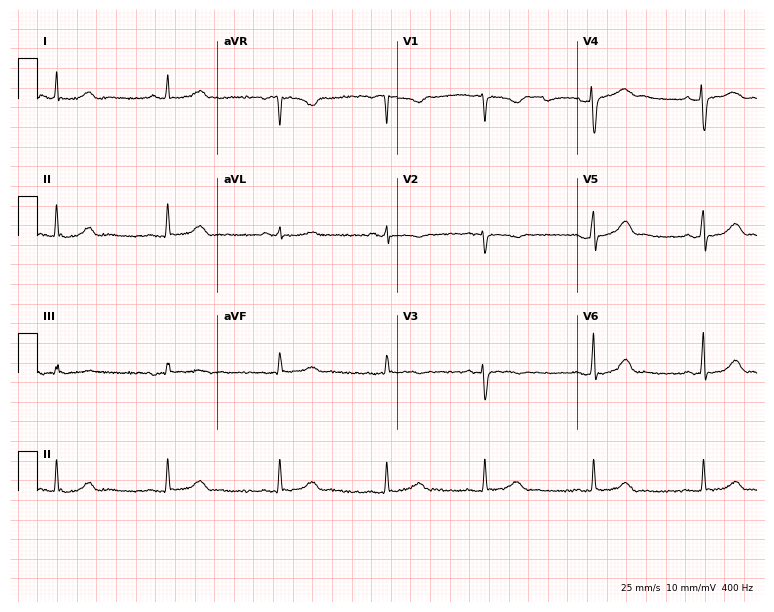
Resting 12-lead electrocardiogram. Patient: a woman, 42 years old. None of these six findings is recorded: first-degree AV block, right bundle branch block (RBBB), left bundle branch block (LBBB), sinus bradycardia, atrial fibrillation (AF), sinus tachycardia.